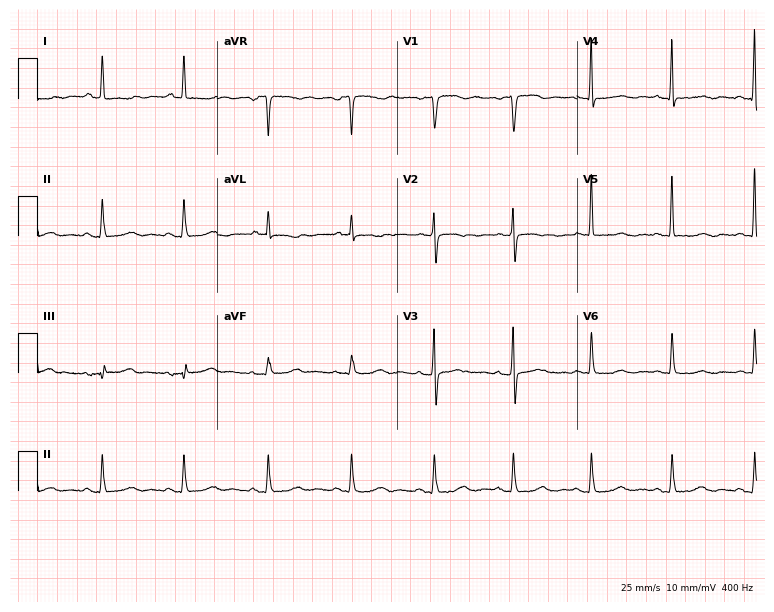
Resting 12-lead electrocardiogram. Patient: a female, 73 years old. None of these six findings is recorded: first-degree AV block, right bundle branch block, left bundle branch block, sinus bradycardia, atrial fibrillation, sinus tachycardia.